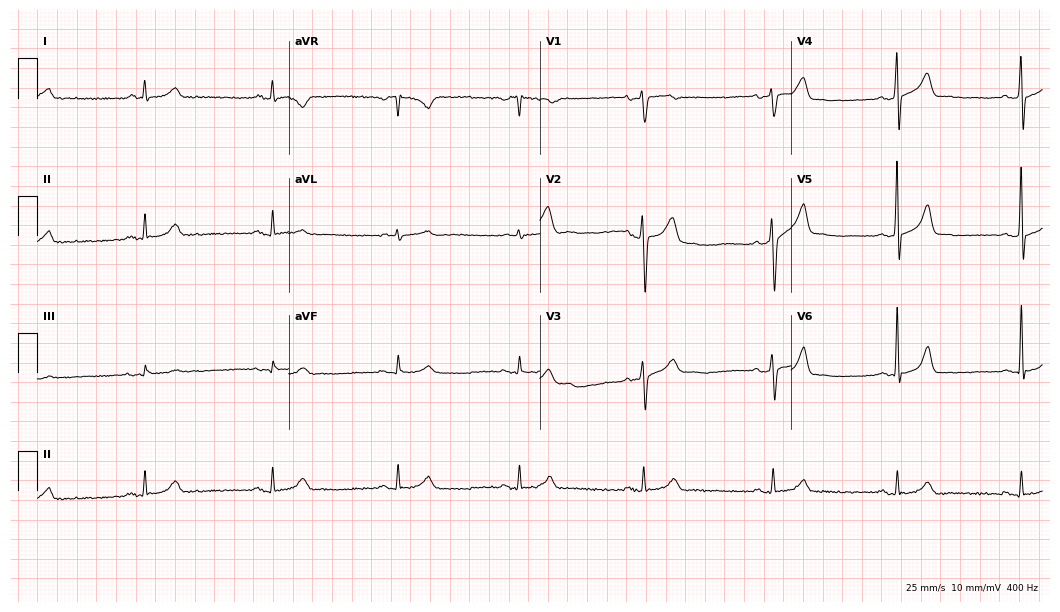
ECG — a male, 42 years old. Findings include sinus bradycardia (a sinus rate of 50 beats per minute or less).